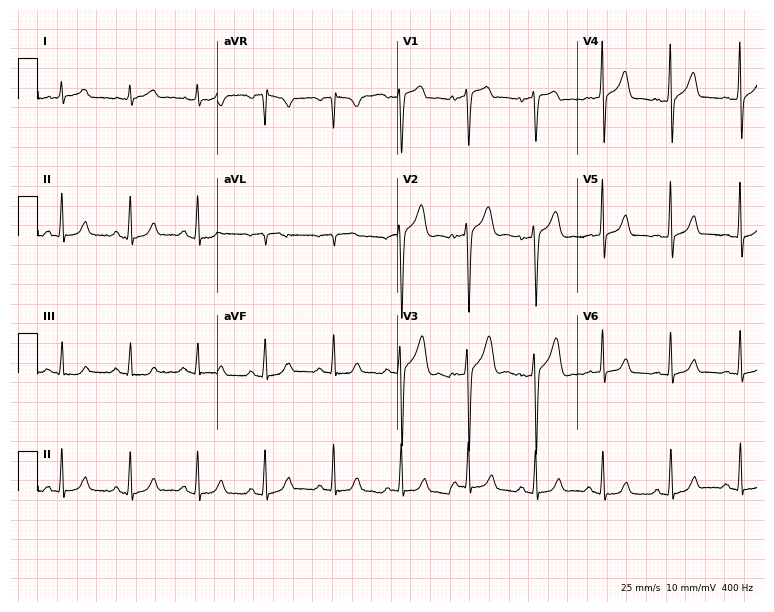
Standard 12-lead ECG recorded from a 31-year-old man (7.3-second recording at 400 Hz). Read as a normal ECG.